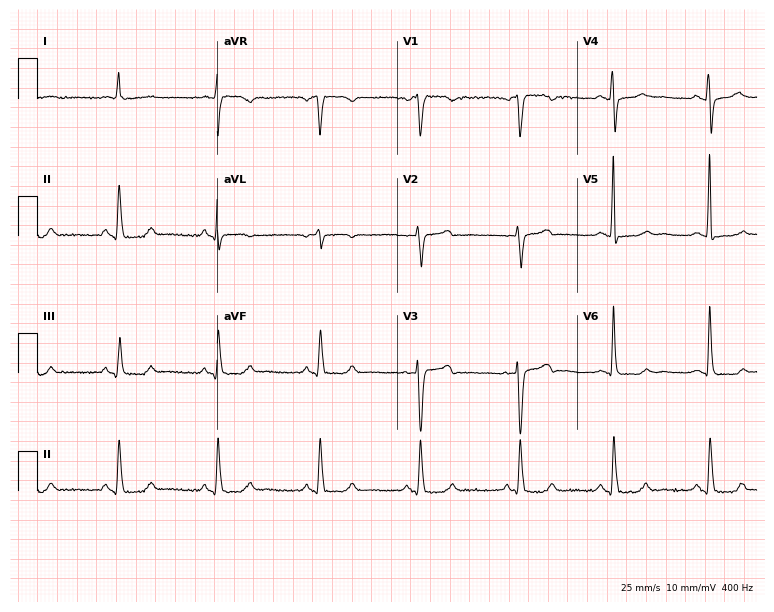
Electrocardiogram (7.3-second recording at 400 Hz), a 44-year-old female. Of the six screened findings (first-degree AV block, right bundle branch block, left bundle branch block, sinus bradycardia, atrial fibrillation, sinus tachycardia), none is recorded.